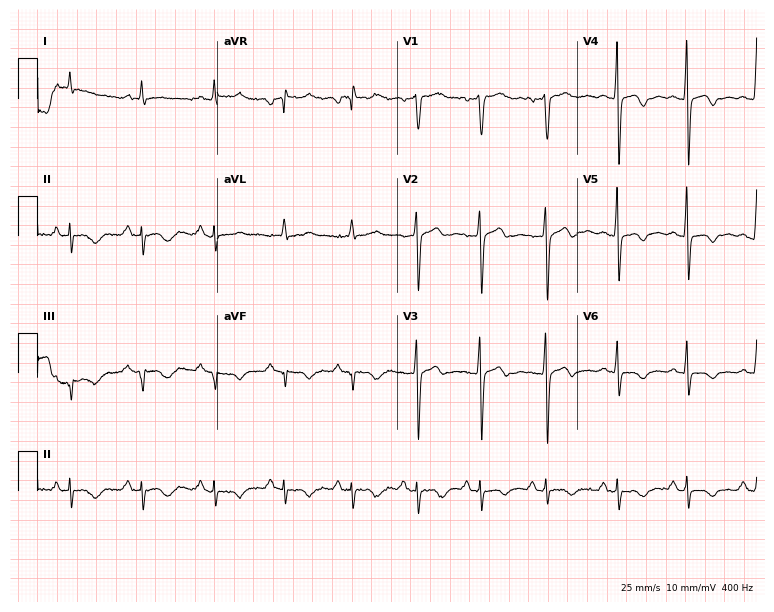
ECG — a 41-year-old female. Screened for six findings — first-degree AV block, right bundle branch block, left bundle branch block, sinus bradycardia, atrial fibrillation, sinus tachycardia — none is recorded.